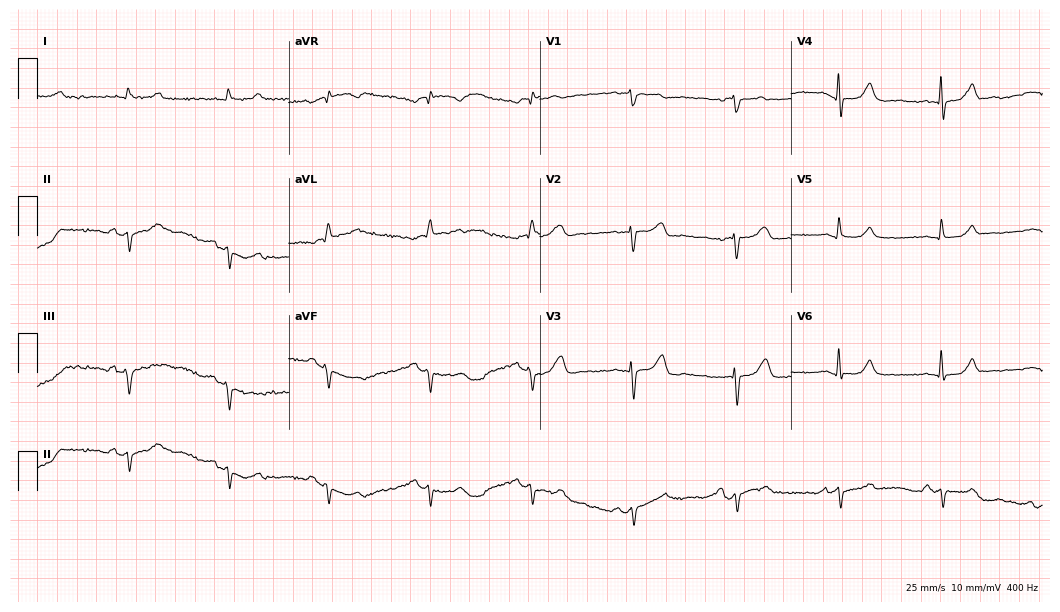
ECG — a 76-year-old male. Screened for six findings — first-degree AV block, right bundle branch block (RBBB), left bundle branch block (LBBB), sinus bradycardia, atrial fibrillation (AF), sinus tachycardia — none is recorded.